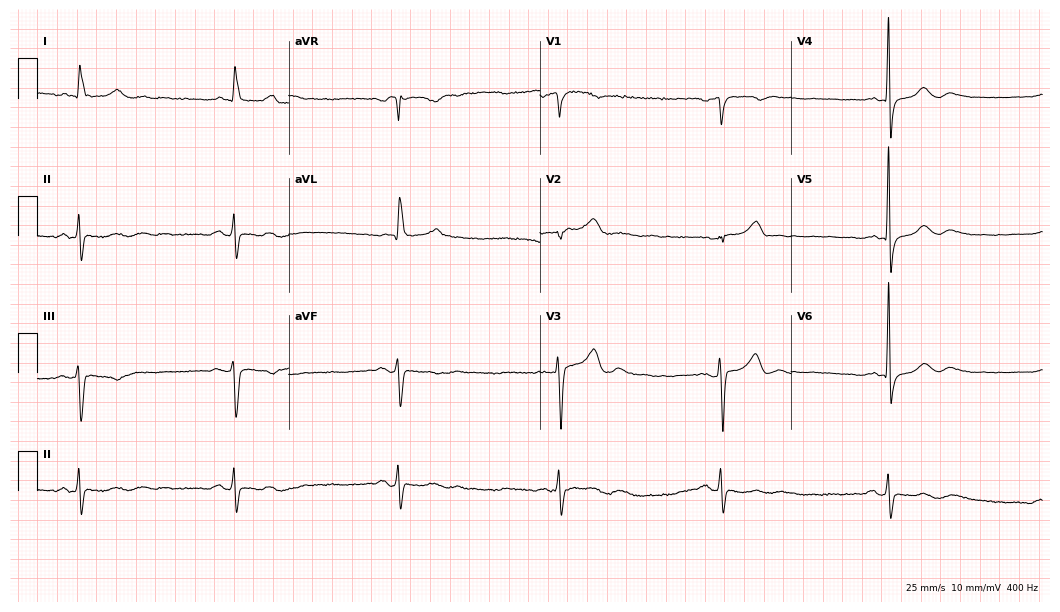
12-lead ECG from a male, 77 years old. Findings include sinus bradycardia (a sinus rate of 50 beats per minute or less).